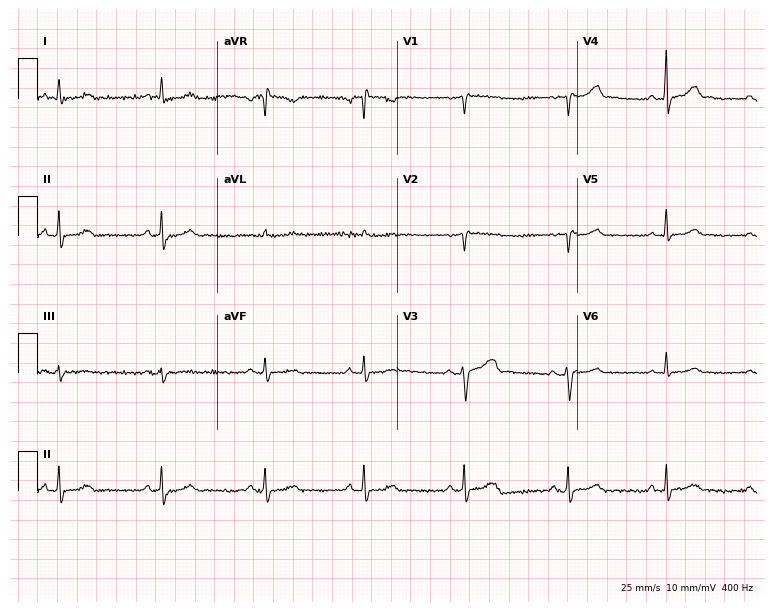
12-lead ECG from a man, 55 years old. Screened for six findings — first-degree AV block, right bundle branch block, left bundle branch block, sinus bradycardia, atrial fibrillation, sinus tachycardia — none is recorded.